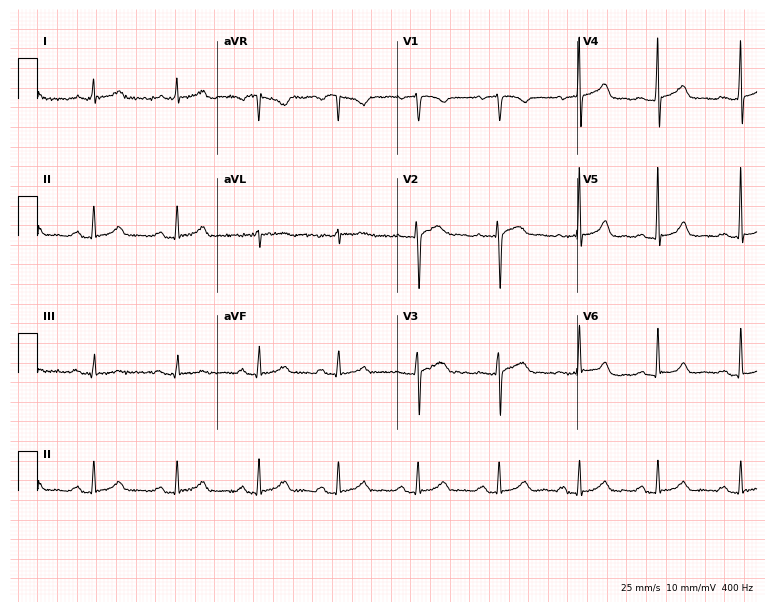
Electrocardiogram, a female, 48 years old. Overall reading on record: normal ECG.